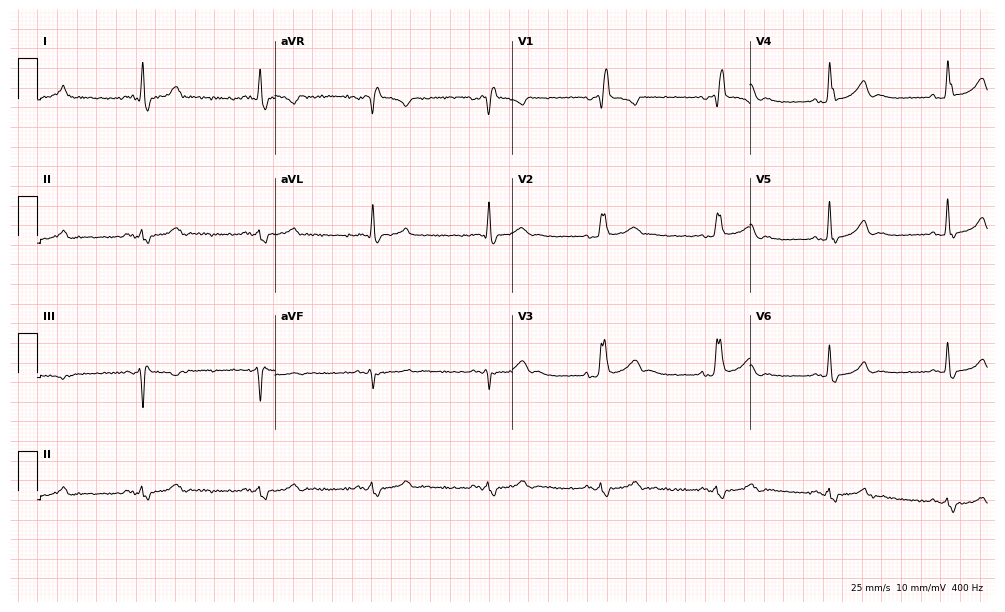
Electrocardiogram (9.7-second recording at 400 Hz), a man, 57 years old. Interpretation includes right bundle branch block (RBBB).